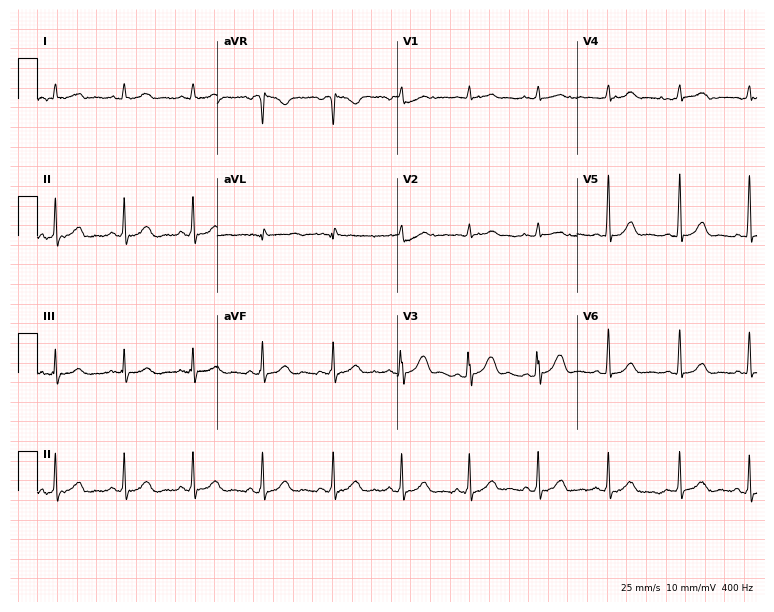
Electrocardiogram, a 26-year-old female. Of the six screened findings (first-degree AV block, right bundle branch block, left bundle branch block, sinus bradycardia, atrial fibrillation, sinus tachycardia), none is recorded.